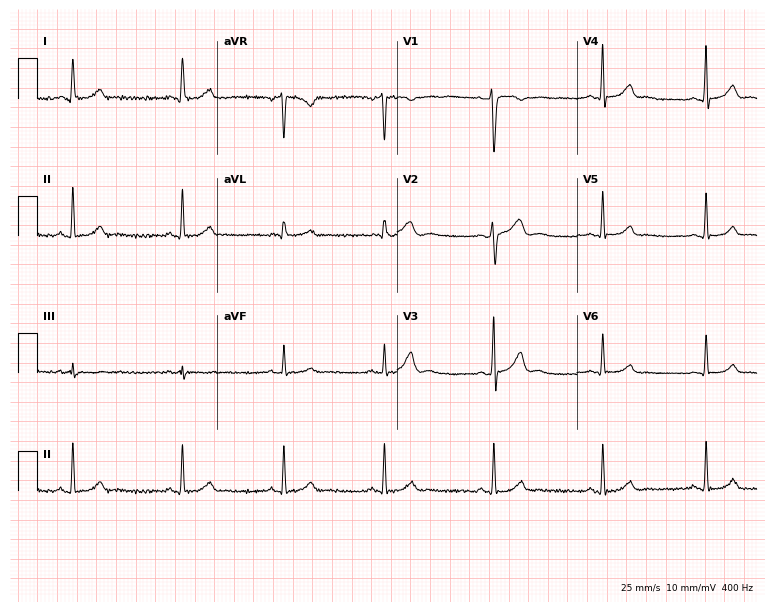
Standard 12-lead ECG recorded from a 27-year-old woman (7.3-second recording at 400 Hz). Read as a normal ECG.